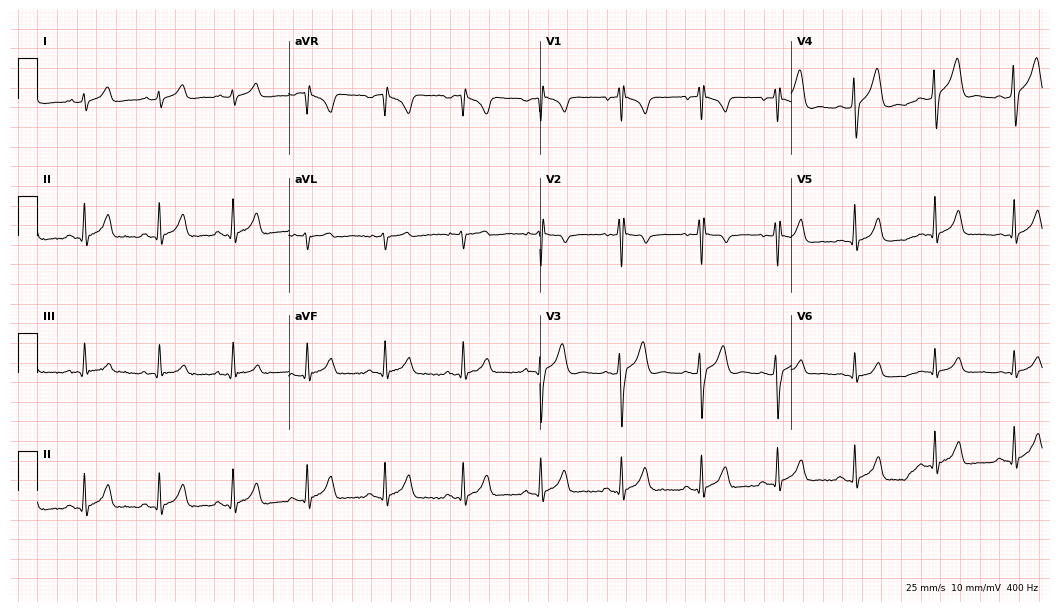
ECG (10.2-second recording at 400 Hz) — a 19-year-old man. Screened for six findings — first-degree AV block, right bundle branch block, left bundle branch block, sinus bradycardia, atrial fibrillation, sinus tachycardia — none is recorded. Findings outside these six are not listed.